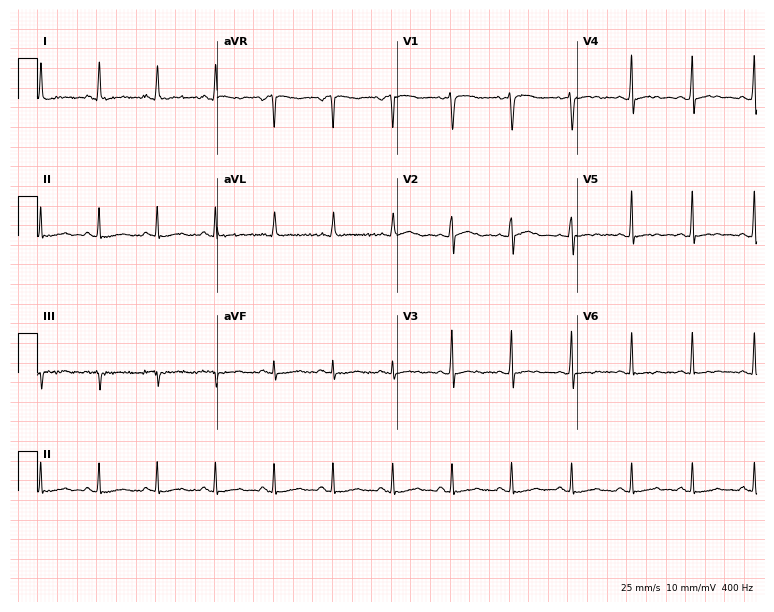
ECG (7.3-second recording at 400 Hz) — a 54-year-old female. Screened for six findings — first-degree AV block, right bundle branch block, left bundle branch block, sinus bradycardia, atrial fibrillation, sinus tachycardia — none is recorded.